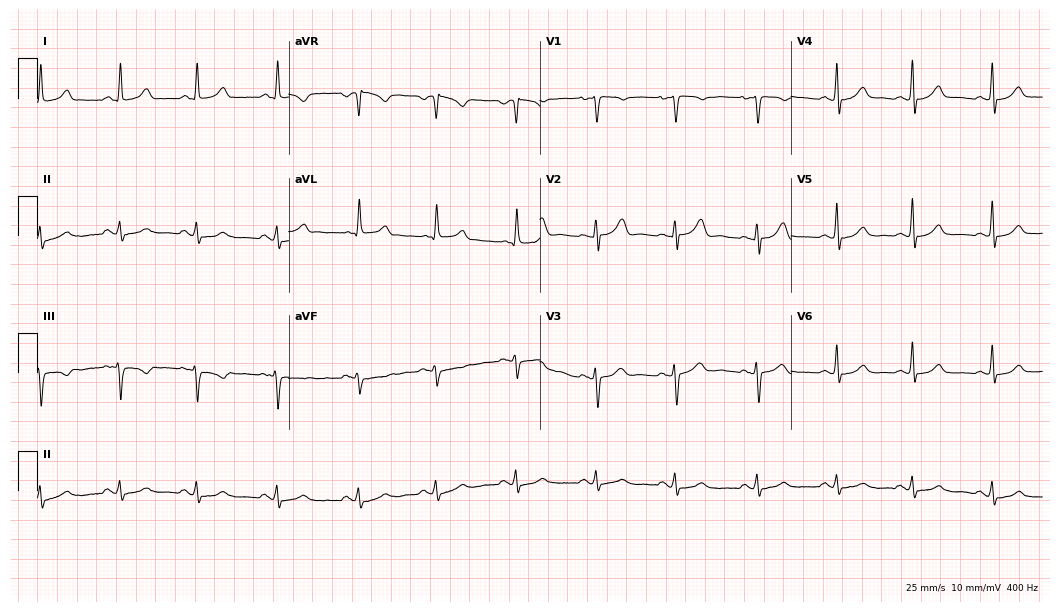
Electrocardiogram, a female patient, 36 years old. Overall reading on record: normal ECG.